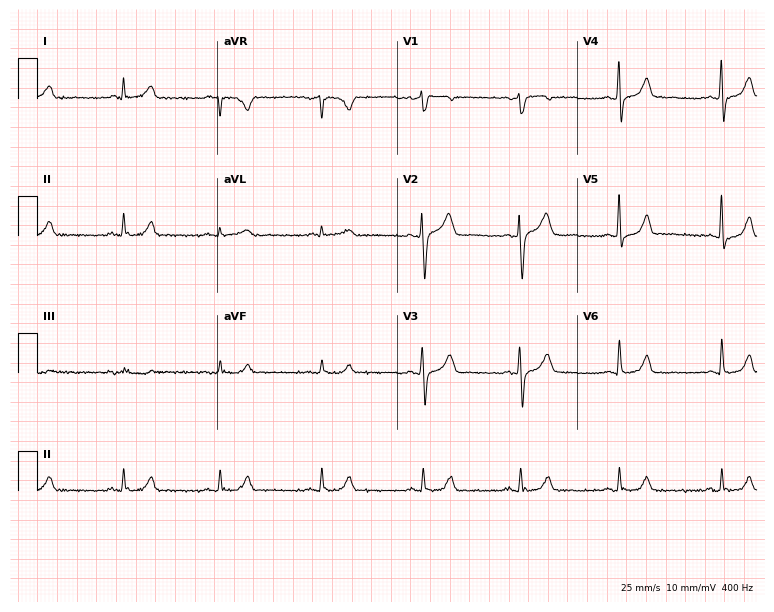
Resting 12-lead electrocardiogram (7.3-second recording at 400 Hz). Patient: a male, 52 years old. Read as a normal ECG.